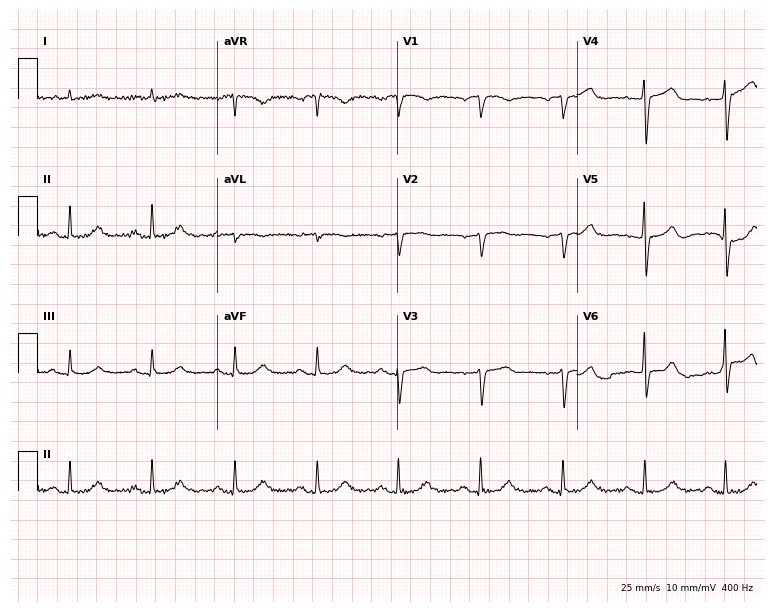
Electrocardiogram (7.3-second recording at 400 Hz), a male patient, 82 years old. Overall reading on record: normal ECG.